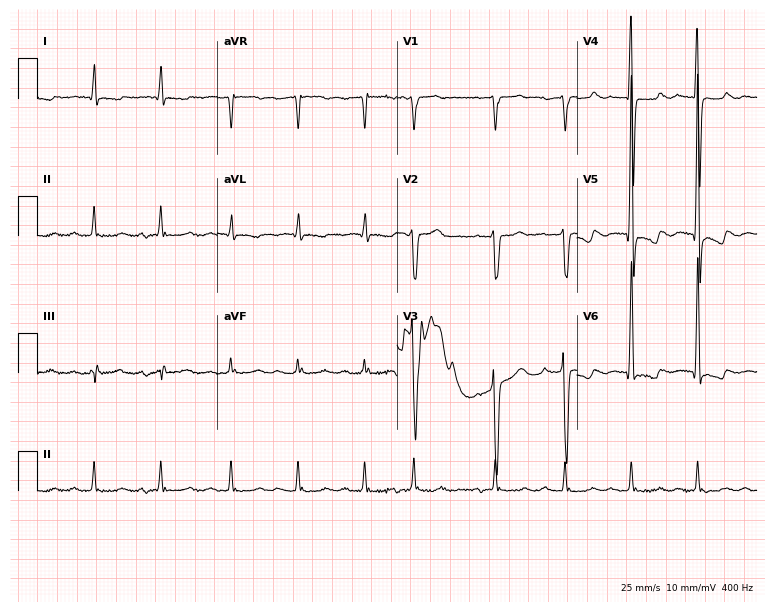
12-lead ECG from a male patient, 72 years old. Shows first-degree AV block.